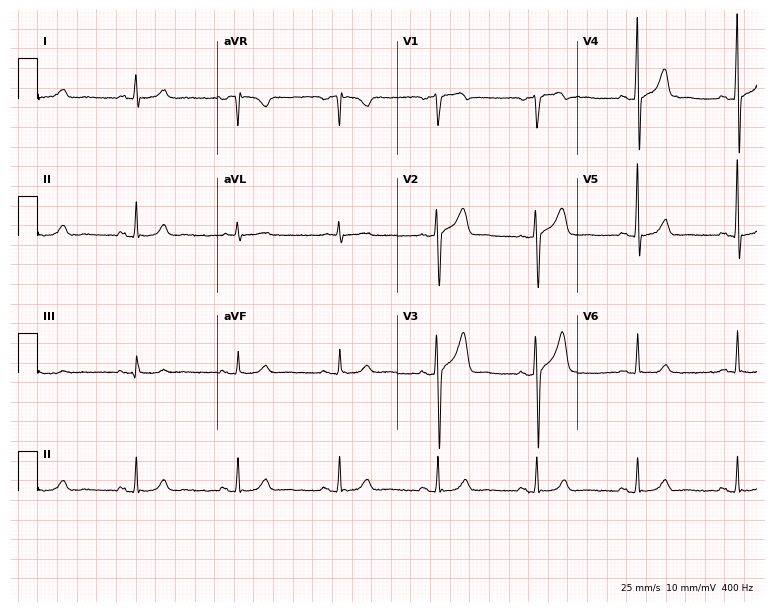
ECG — a man, 57 years old. Labelled as a normal ECG.